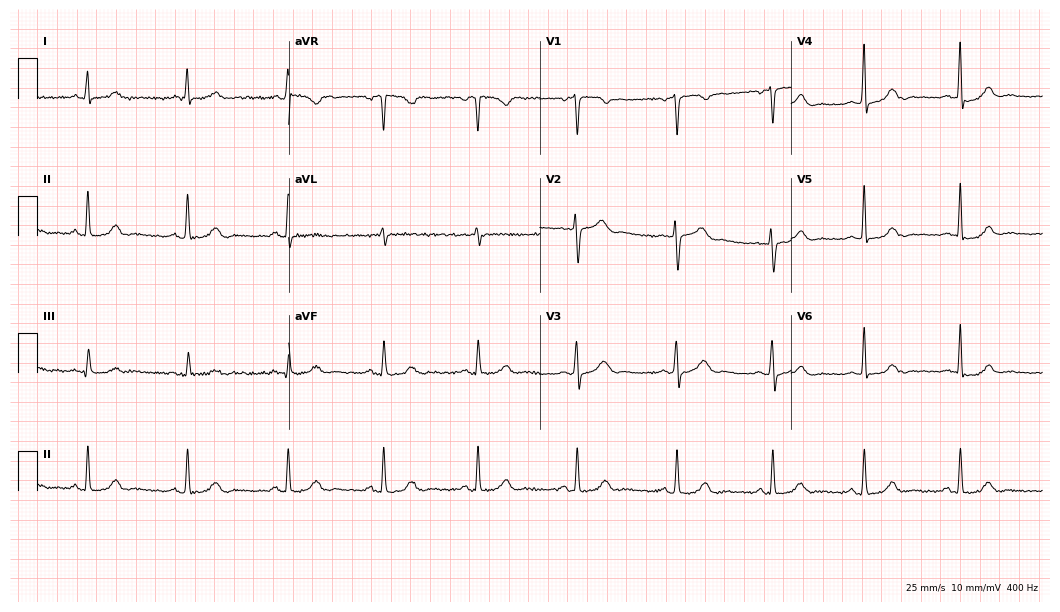
12-lead ECG from a 42-year-old female patient (10.2-second recording at 400 Hz). No first-degree AV block, right bundle branch block (RBBB), left bundle branch block (LBBB), sinus bradycardia, atrial fibrillation (AF) or sinus tachycardia recorded for this tracing. Findings outside these six are not listed.